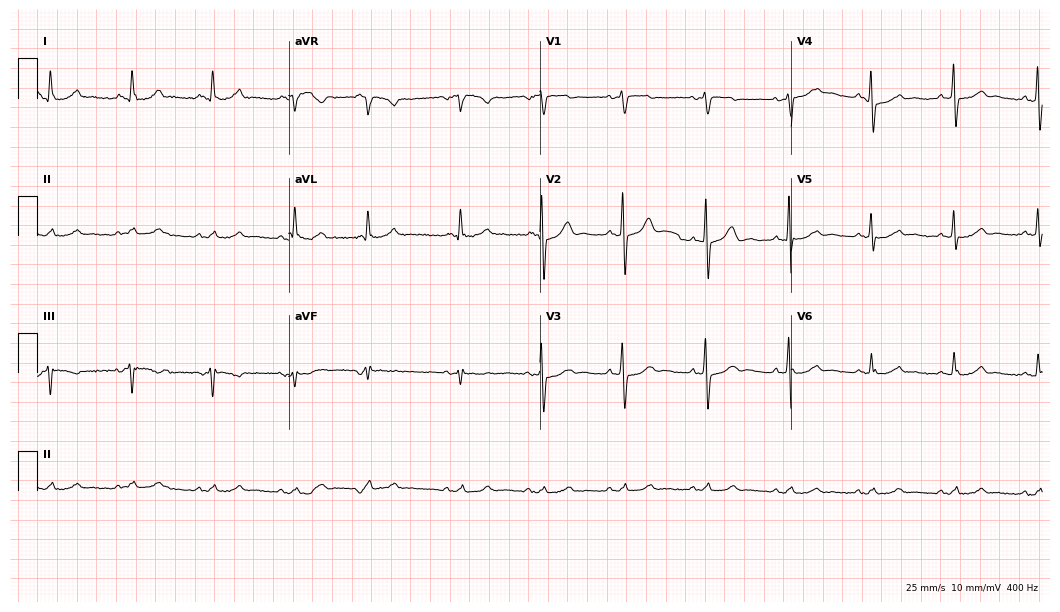
12-lead ECG from an 84-year-old man (10.2-second recording at 400 Hz). No first-degree AV block, right bundle branch block, left bundle branch block, sinus bradycardia, atrial fibrillation or sinus tachycardia recorded for this tracing.